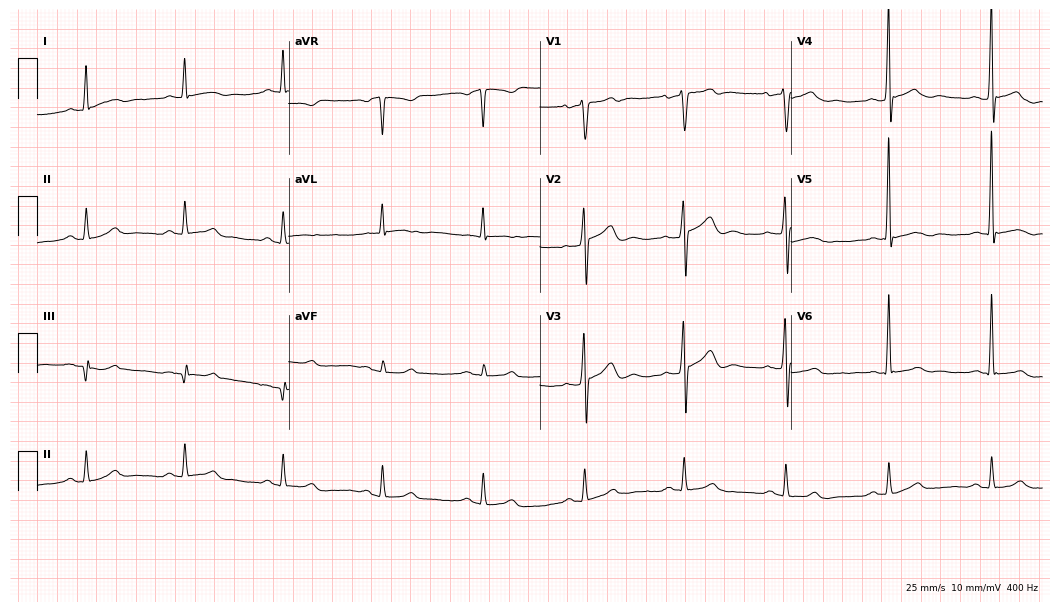
12-lead ECG from a 58-year-old man. Recorded interpretation: within normal limits.